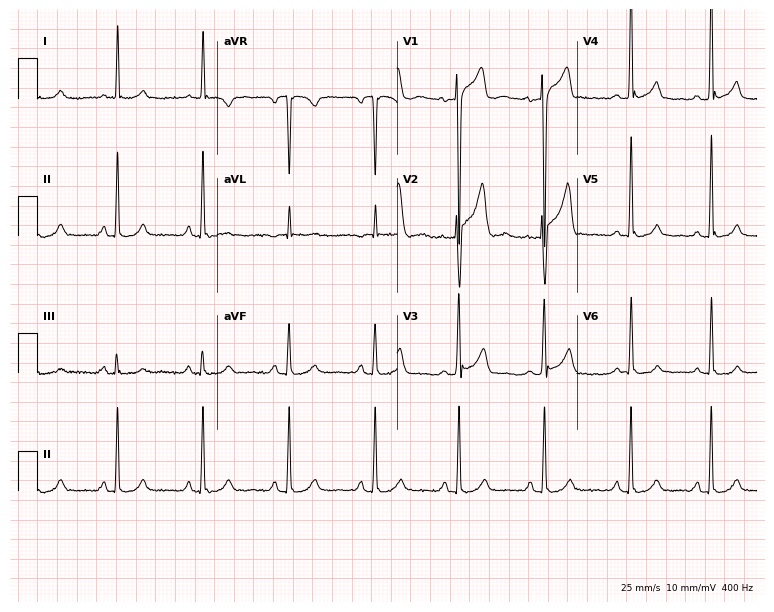
Resting 12-lead electrocardiogram. Patient: a 32-year-old male. None of these six findings is recorded: first-degree AV block, right bundle branch block, left bundle branch block, sinus bradycardia, atrial fibrillation, sinus tachycardia.